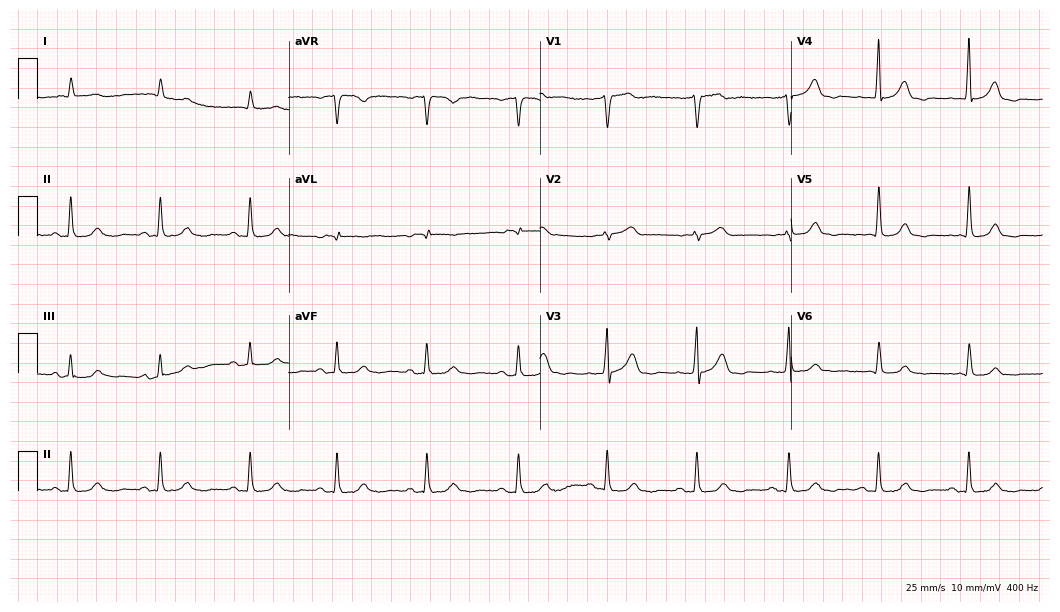
12-lead ECG (10.2-second recording at 400 Hz) from a 76-year-old man. Labelled as a normal ECG.